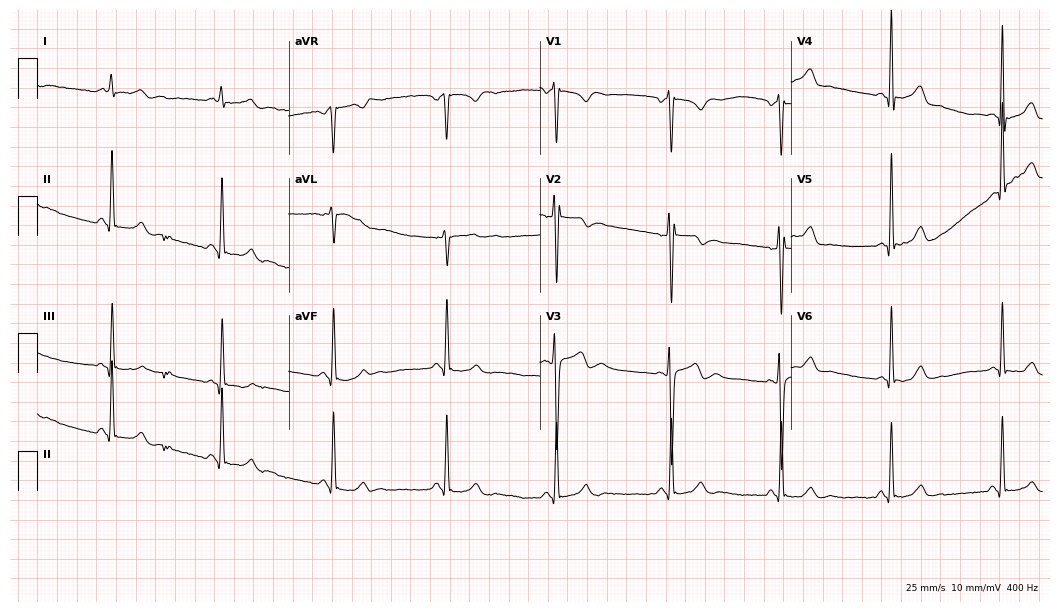
Resting 12-lead electrocardiogram (10.2-second recording at 400 Hz). Patient: a 37-year-old man. None of these six findings is recorded: first-degree AV block, right bundle branch block, left bundle branch block, sinus bradycardia, atrial fibrillation, sinus tachycardia. Other findings, if any, are not listed.